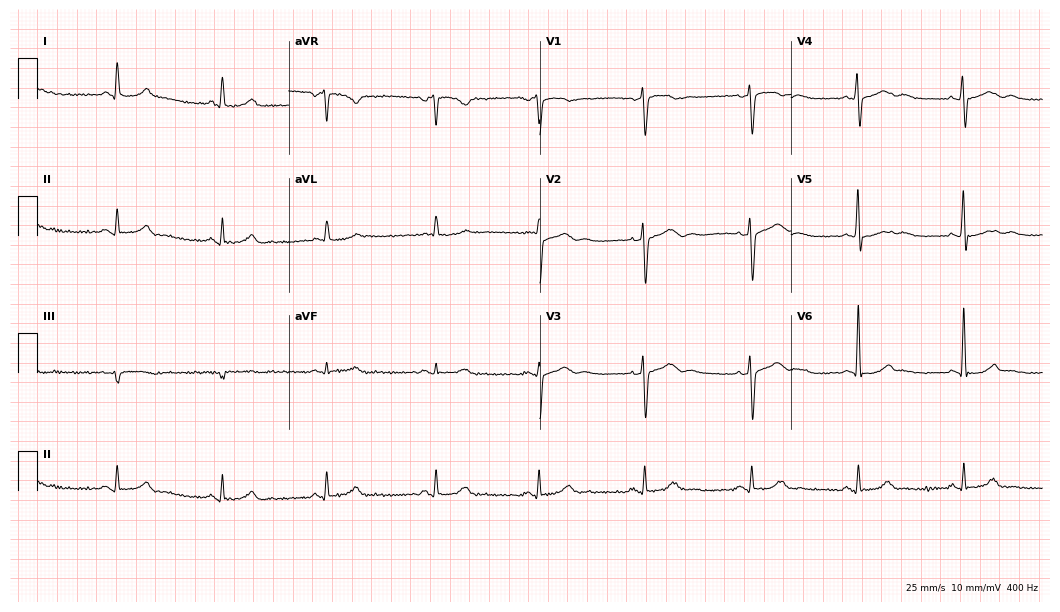
12-lead ECG from a 44-year-old female (10.2-second recording at 400 Hz). Recorded interpretation: within normal limits.